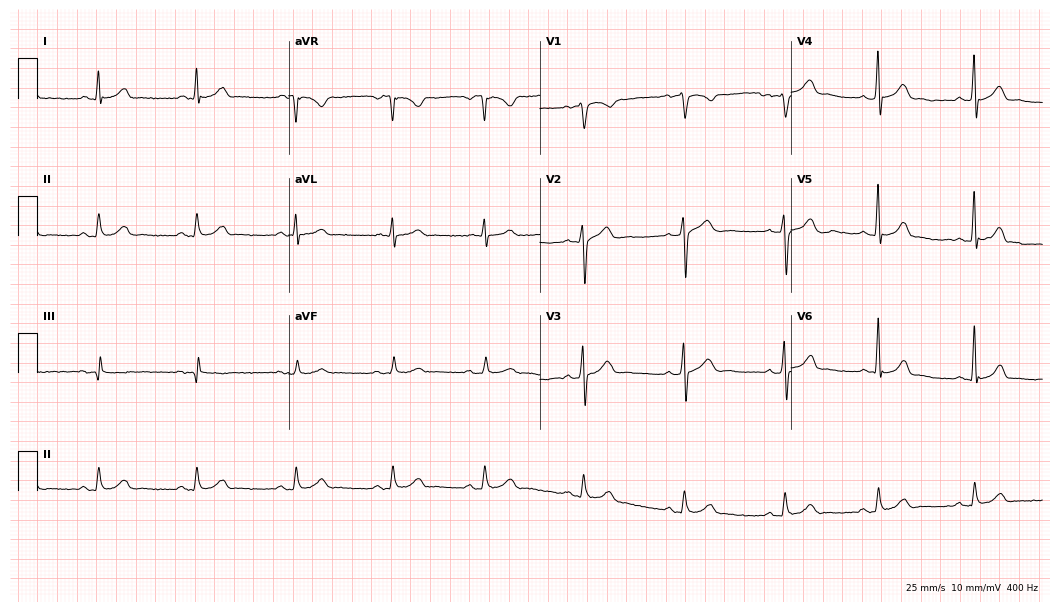
12-lead ECG from a 30-year-old male patient. Recorded interpretation: within normal limits.